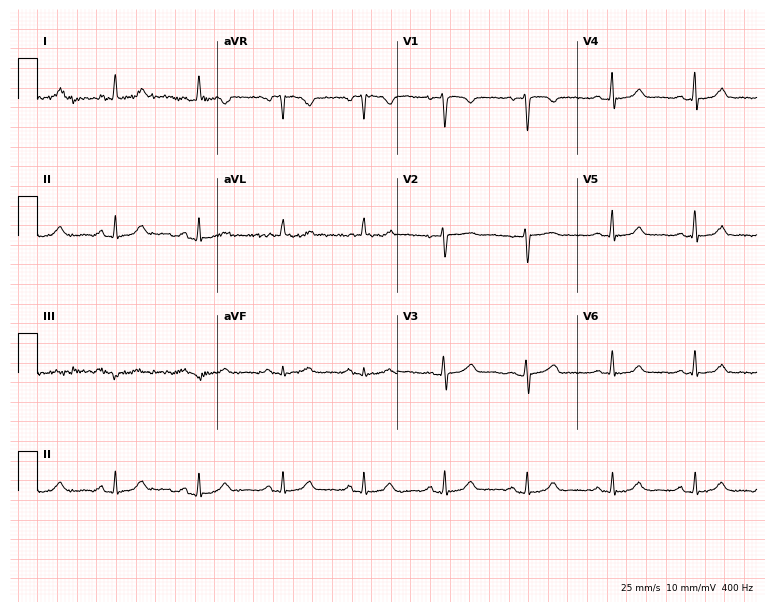
ECG (7.3-second recording at 400 Hz) — a female, 40 years old. Labelled as a normal ECG.